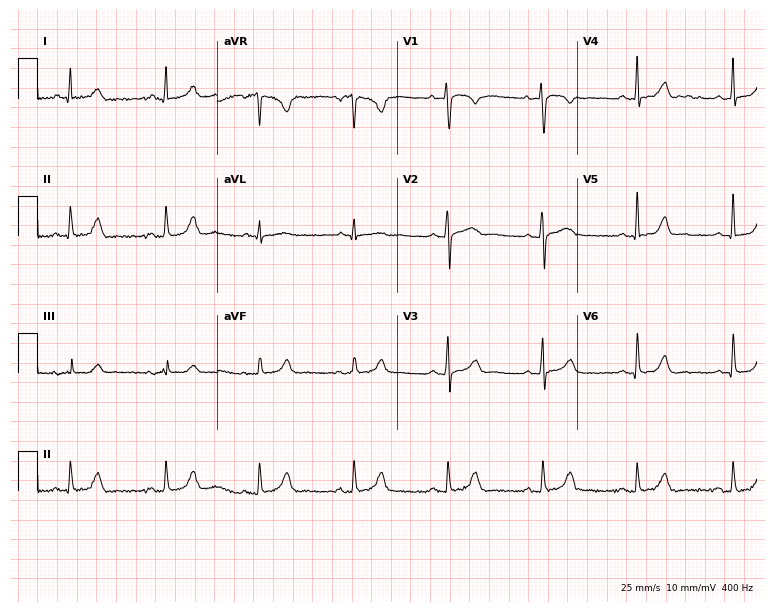
Standard 12-lead ECG recorded from a 49-year-old woman (7.3-second recording at 400 Hz). None of these six findings is recorded: first-degree AV block, right bundle branch block (RBBB), left bundle branch block (LBBB), sinus bradycardia, atrial fibrillation (AF), sinus tachycardia. Other findings, if any, are not listed.